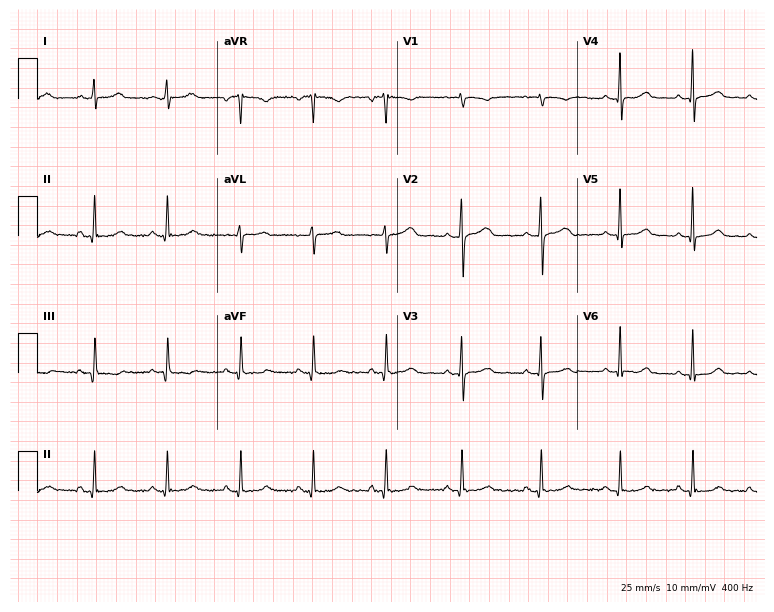
12-lead ECG from a woman, 36 years old (7.3-second recording at 400 Hz). Recorded interpretation: within normal limits.